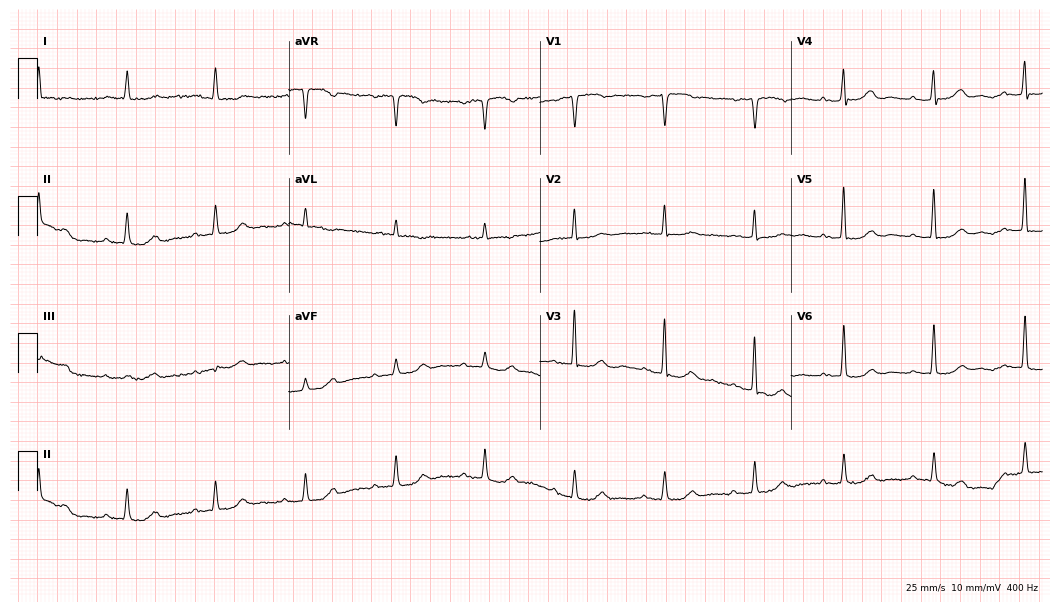
Electrocardiogram, an 84-year-old female patient. Of the six screened findings (first-degree AV block, right bundle branch block, left bundle branch block, sinus bradycardia, atrial fibrillation, sinus tachycardia), none is recorded. Findings outside these six are not listed.